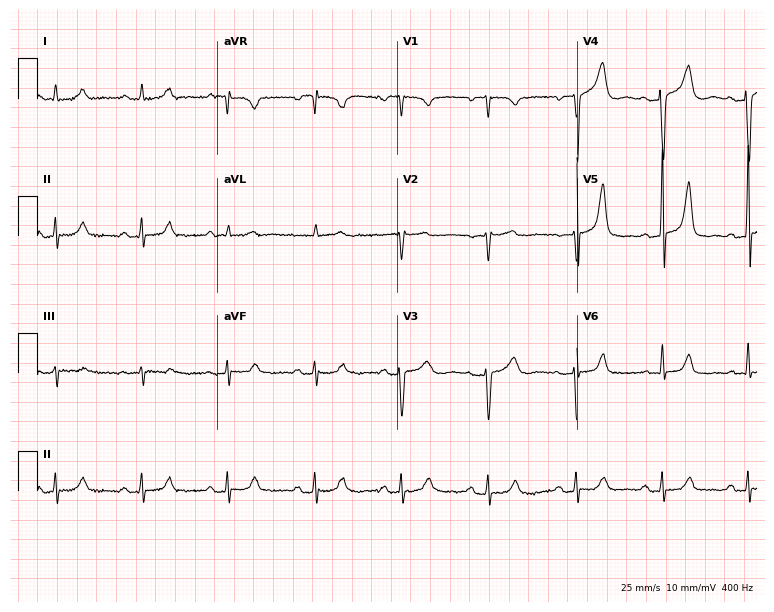
Resting 12-lead electrocardiogram (7.3-second recording at 400 Hz). Patient: a female, 67 years old. None of these six findings is recorded: first-degree AV block, right bundle branch block, left bundle branch block, sinus bradycardia, atrial fibrillation, sinus tachycardia. Findings outside these six are not listed.